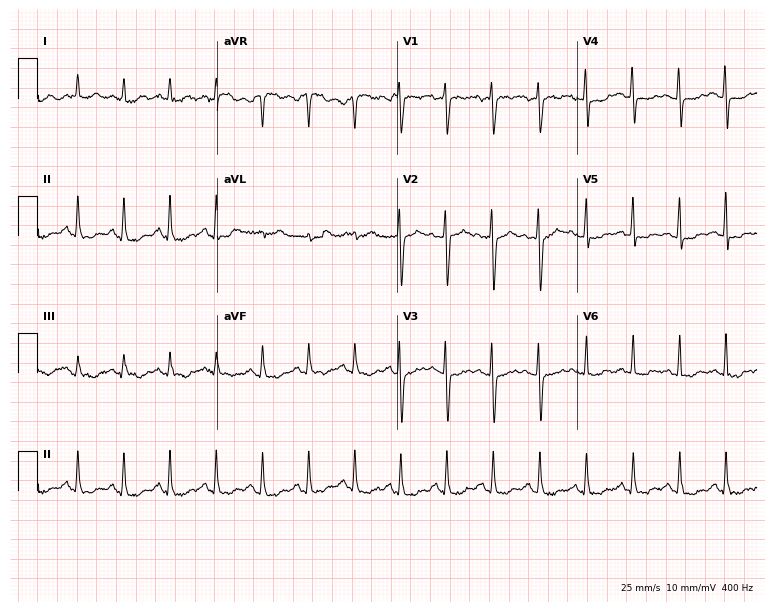
12-lead ECG from a 28-year-old female (7.3-second recording at 400 Hz). Shows sinus tachycardia (a sinus rate of 100 beats per minute or more).